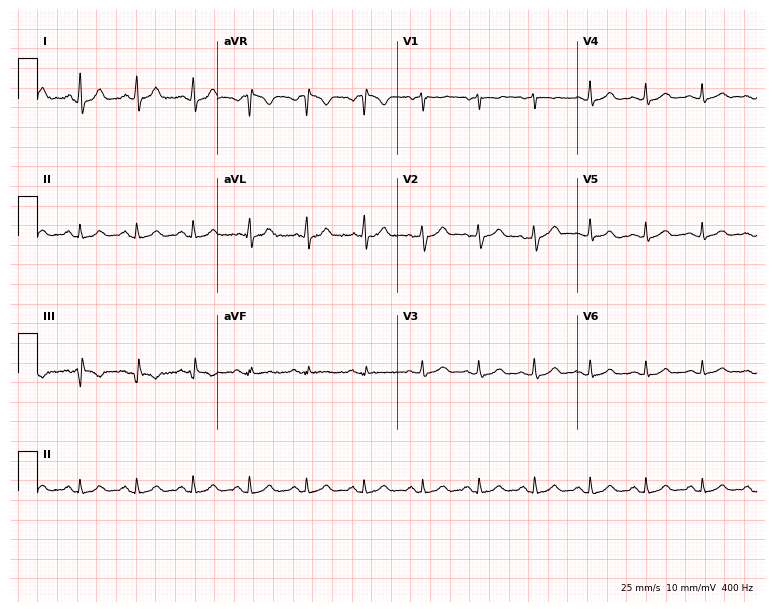
12-lead ECG (7.3-second recording at 400 Hz) from a 48-year-old female patient. Findings include sinus tachycardia (a sinus rate of 100 beats per minute or more).